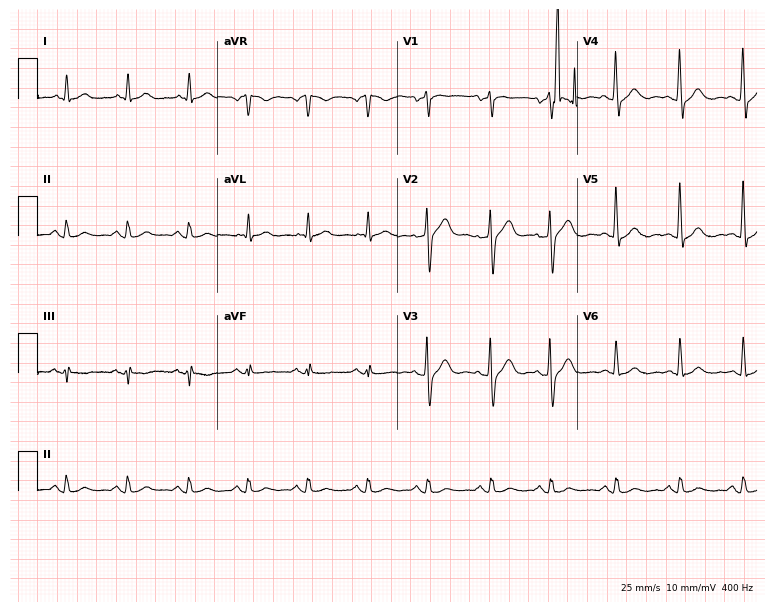
ECG (7.3-second recording at 400 Hz) — a 67-year-old man. Labelled as a normal ECG.